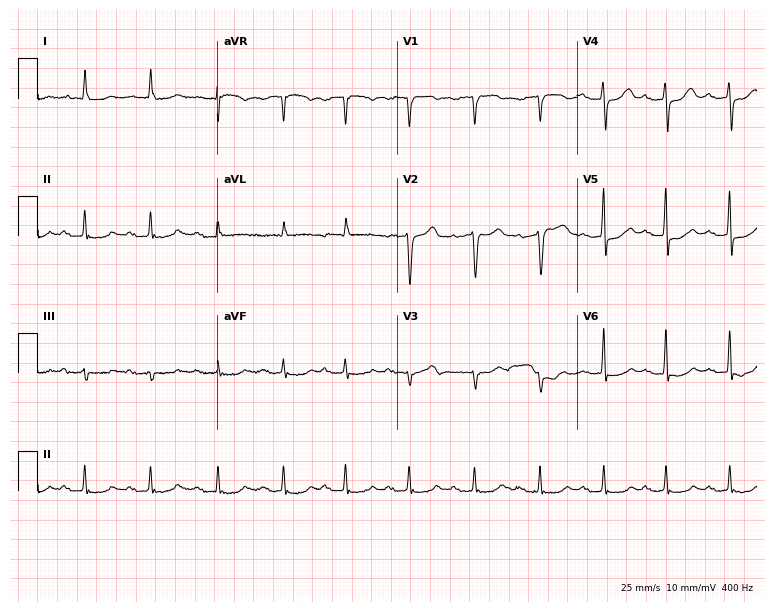
Electrocardiogram (7.3-second recording at 400 Hz), a 71-year-old male. Interpretation includes first-degree AV block.